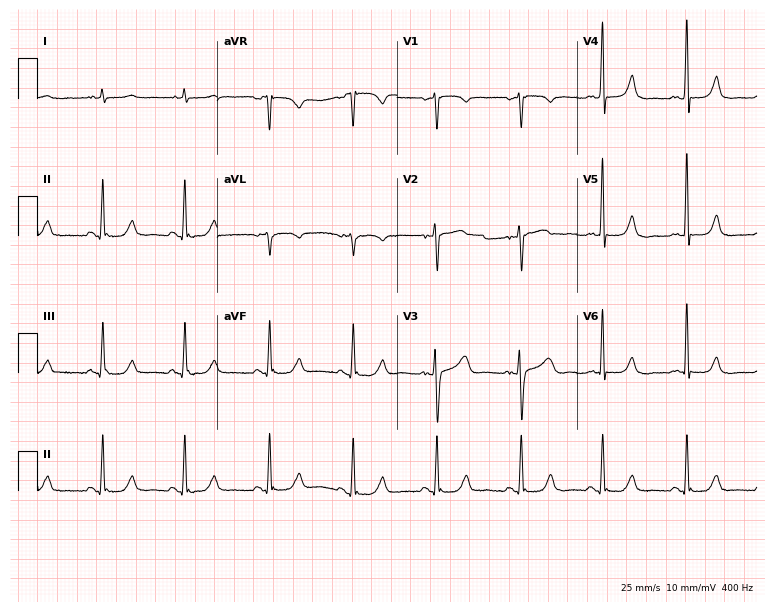
Resting 12-lead electrocardiogram. Patient: a 42-year-old female. None of these six findings is recorded: first-degree AV block, right bundle branch block, left bundle branch block, sinus bradycardia, atrial fibrillation, sinus tachycardia. Findings outside these six are not listed.